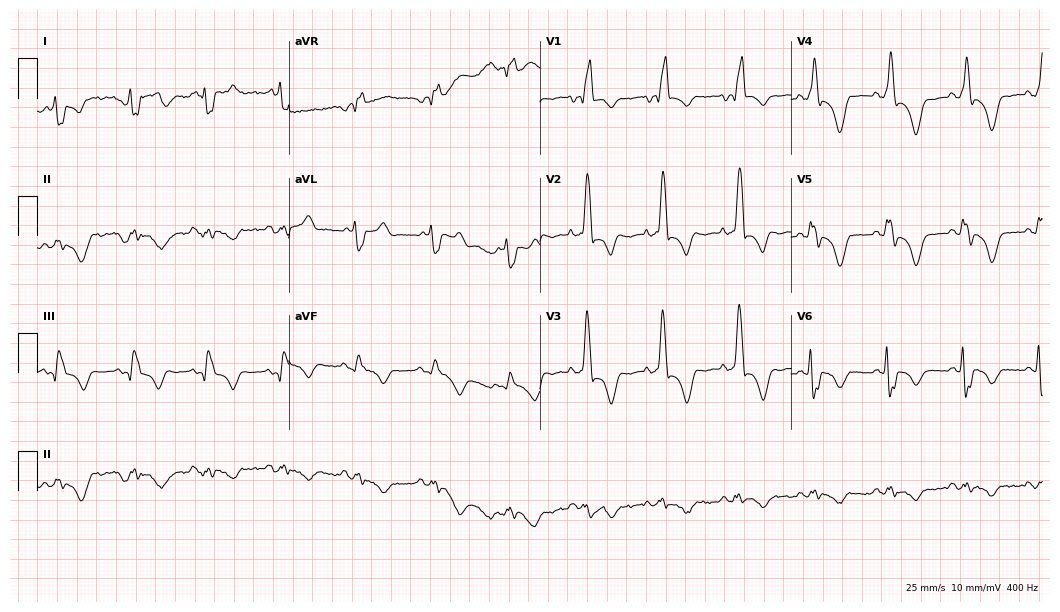
Resting 12-lead electrocardiogram (10.2-second recording at 400 Hz). Patient: a man, 80 years old. None of these six findings is recorded: first-degree AV block, right bundle branch block, left bundle branch block, sinus bradycardia, atrial fibrillation, sinus tachycardia.